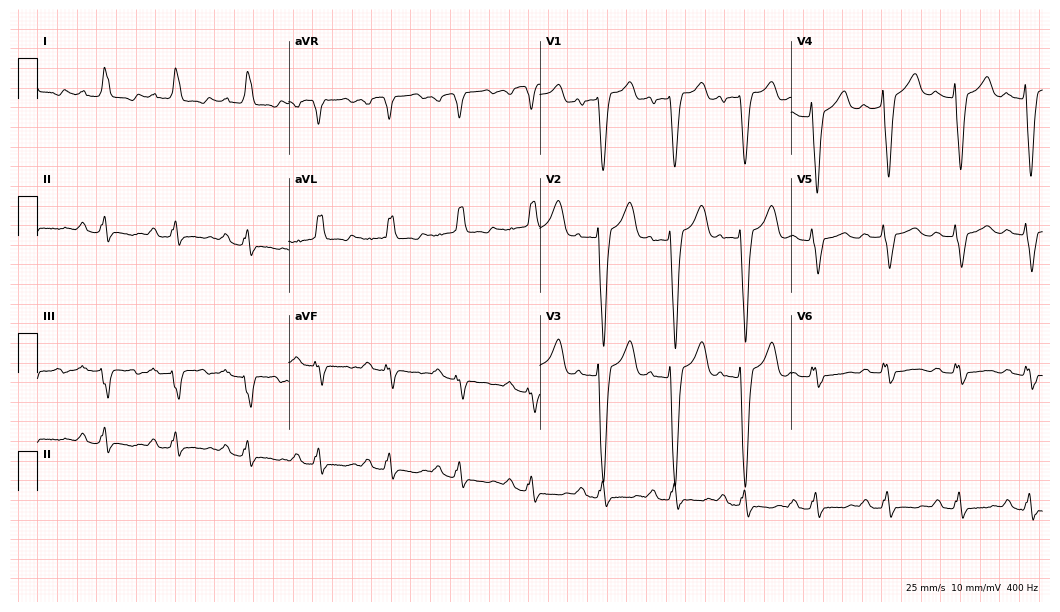
Electrocardiogram (10.2-second recording at 400 Hz), a 64-year-old female. Interpretation includes first-degree AV block, left bundle branch block.